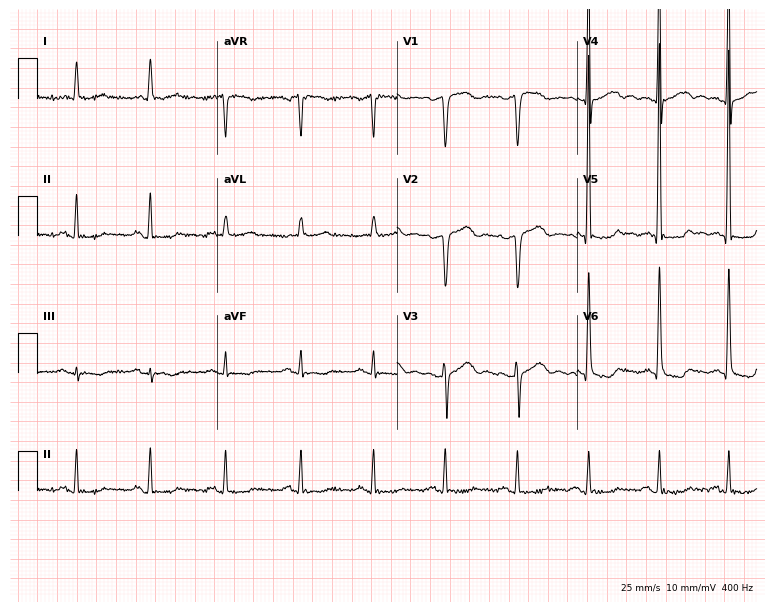
12-lead ECG (7.3-second recording at 400 Hz) from a male, 71 years old. Screened for six findings — first-degree AV block, right bundle branch block, left bundle branch block, sinus bradycardia, atrial fibrillation, sinus tachycardia — none is recorded.